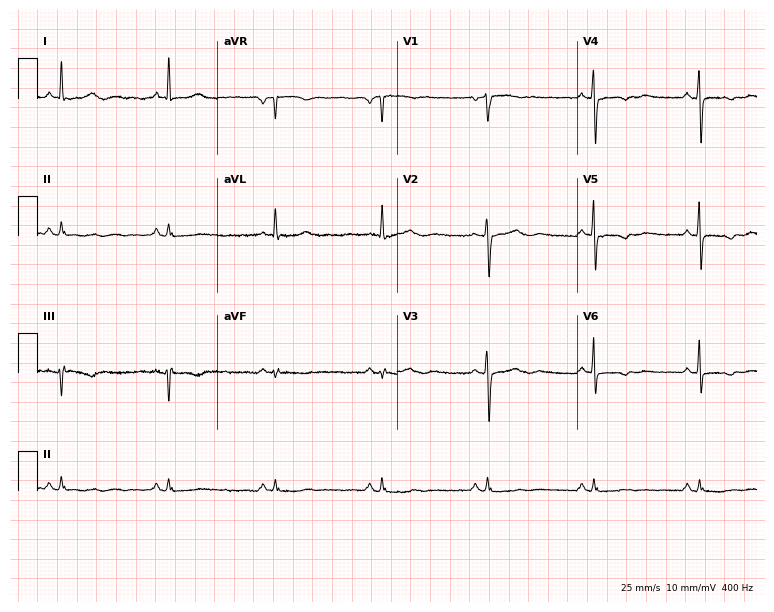
12-lead ECG (7.3-second recording at 400 Hz) from a female patient, 56 years old. Screened for six findings — first-degree AV block, right bundle branch block, left bundle branch block, sinus bradycardia, atrial fibrillation, sinus tachycardia — none is recorded. Other findings, if any, are not listed.